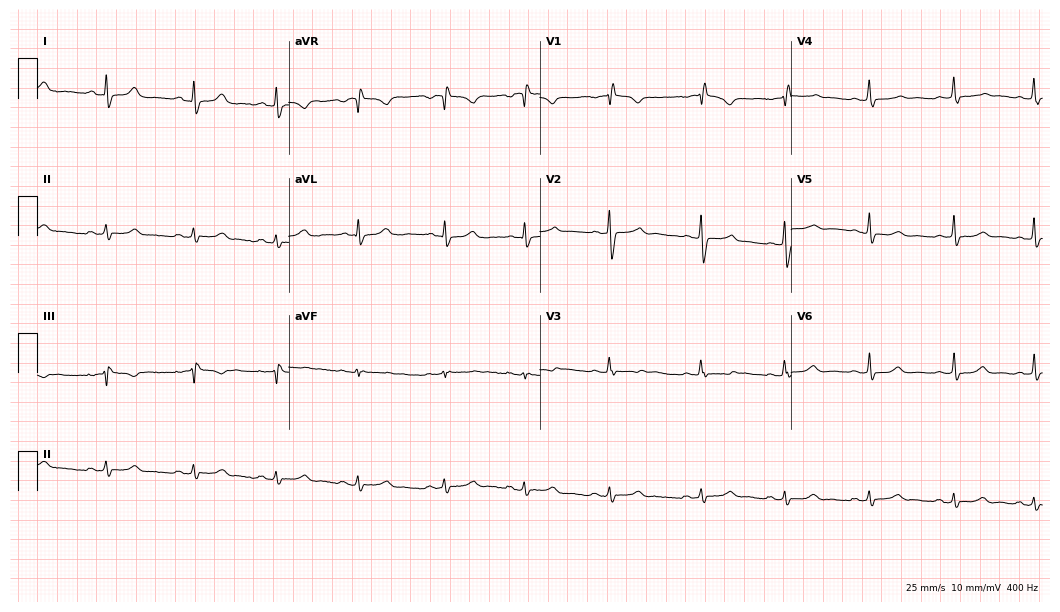
12-lead ECG from a female patient, 21 years old. No first-degree AV block, right bundle branch block (RBBB), left bundle branch block (LBBB), sinus bradycardia, atrial fibrillation (AF) or sinus tachycardia recorded for this tracing.